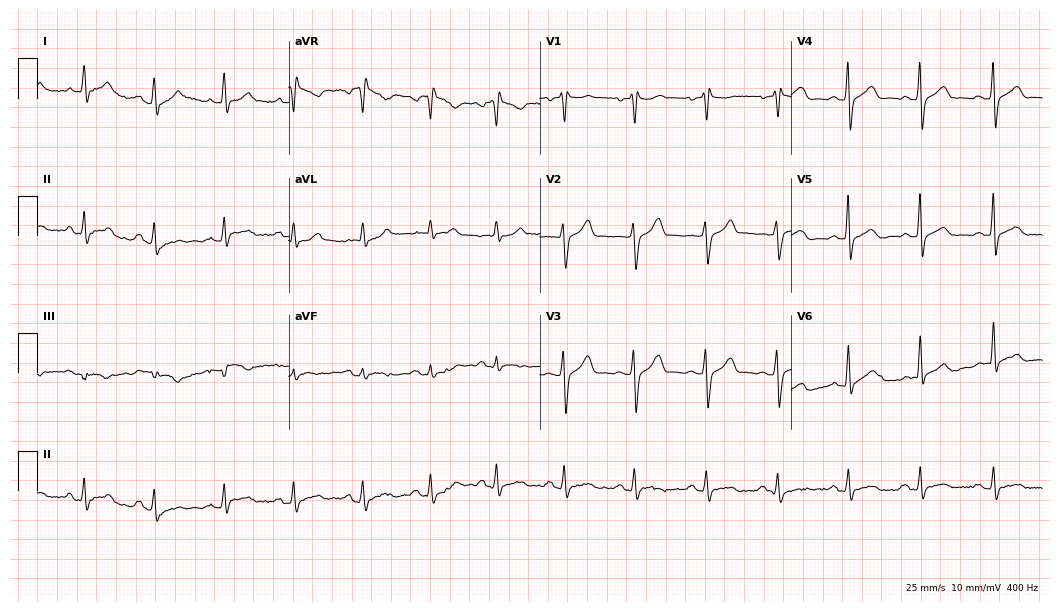
12-lead ECG from a man, 33 years old (10.2-second recording at 400 Hz). No first-degree AV block, right bundle branch block, left bundle branch block, sinus bradycardia, atrial fibrillation or sinus tachycardia recorded for this tracing.